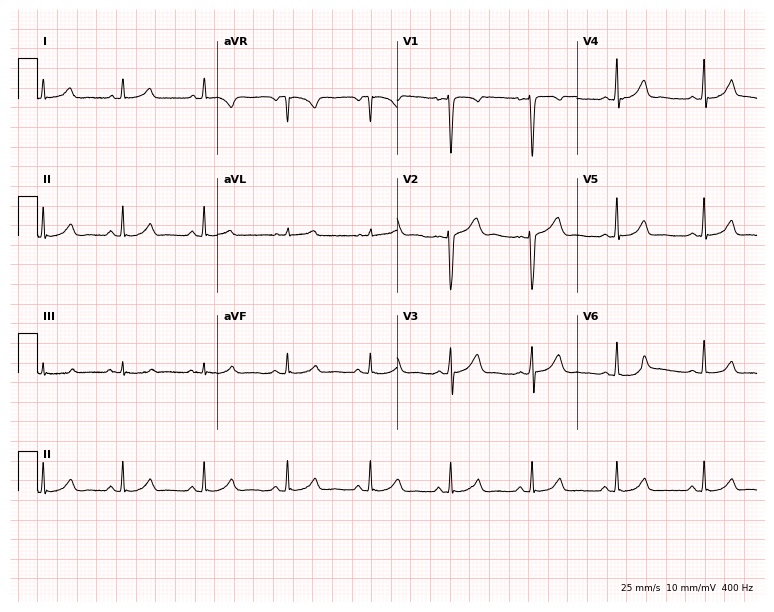
Electrocardiogram, a female, 28 years old. Of the six screened findings (first-degree AV block, right bundle branch block, left bundle branch block, sinus bradycardia, atrial fibrillation, sinus tachycardia), none is recorded. Other findings, if any, are not listed.